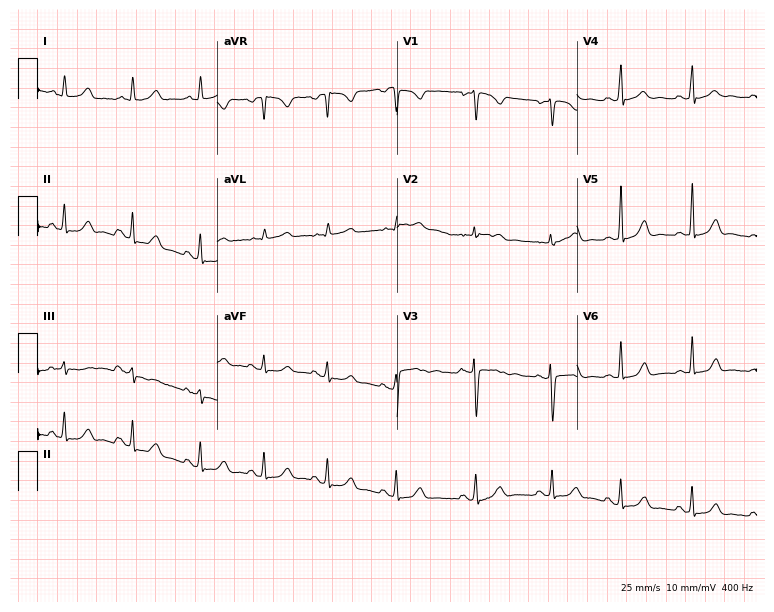
Standard 12-lead ECG recorded from a 20-year-old woman. None of these six findings is recorded: first-degree AV block, right bundle branch block (RBBB), left bundle branch block (LBBB), sinus bradycardia, atrial fibrillation (AF), sinus tachycardia. Only these six findings were labelled.